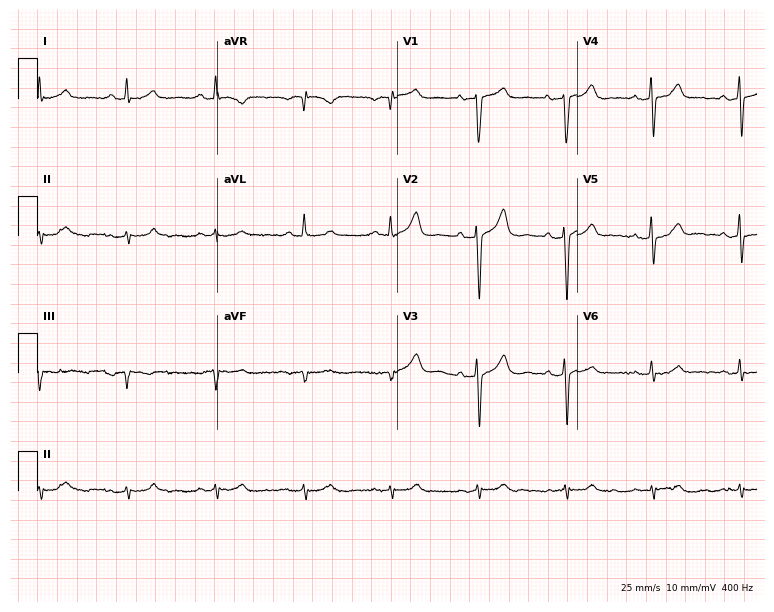
12-lead ECG from a man, 70 years old. Labelled as a normal ECG.